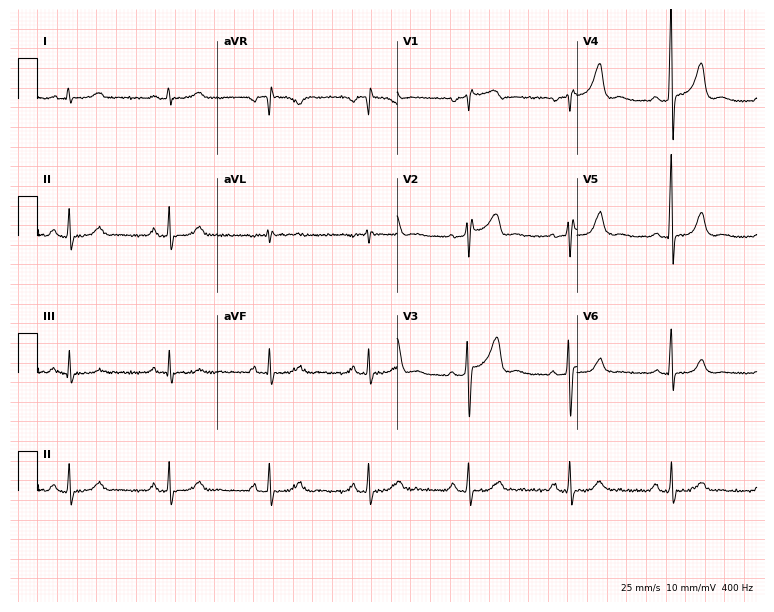
Resting 12-lead electrocardiogram. Patient: a 58-year-old man. Read as a normal ECG.